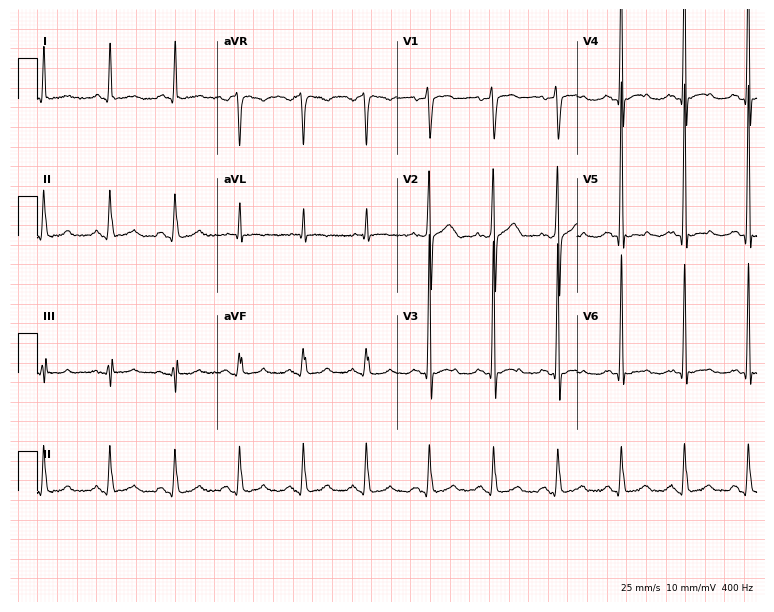
Resting 12-lead electrocardiogram (7.3-second recording at 400 Hz). Patient: a man, 53 years old. None of these six findings is recorded: first-degree AV block, right bundle branch block, left bundle branch block, sinus bradycardia, atrial fibrillation, sinus tachycardia.